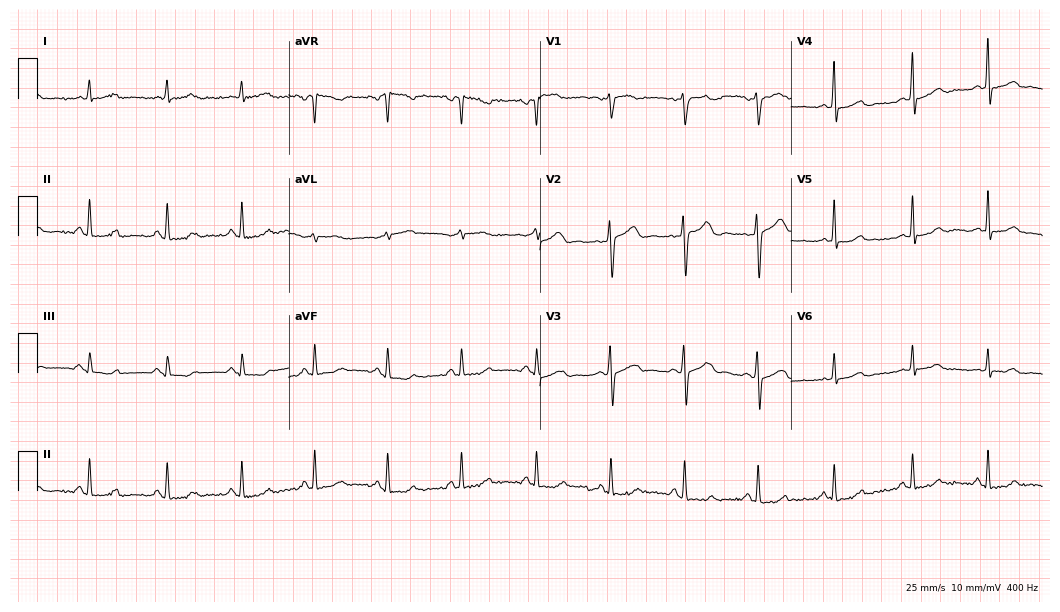
12-lead ECG from a 42-year-old female. Labelled as a normal ECG.